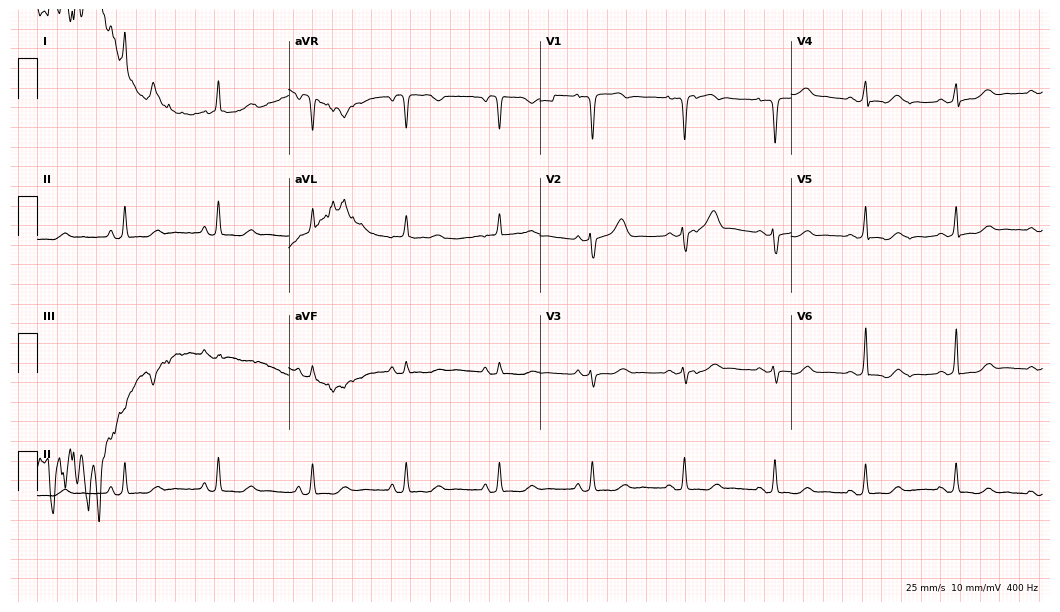
12-lead ECG from a 54-year-old woman. Screened for six findings — first-degree AV block, right bundle branch block, left bundle branch block, sinus bradycardia, atrial fibrillation, sinus tachycardia — none is recorded.